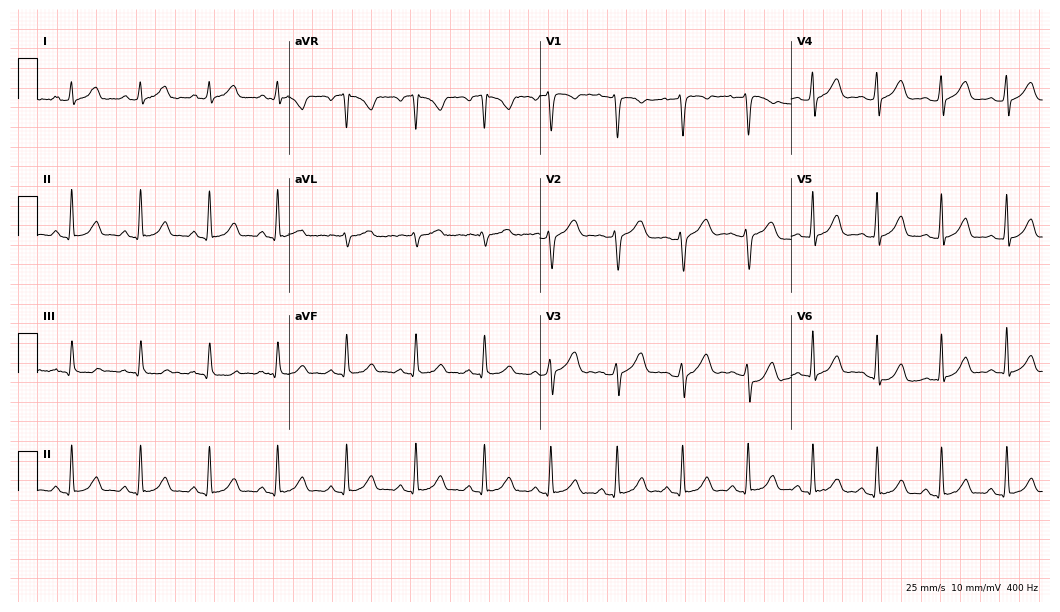
Standard 12-lead ECG recorded from a female, 24 years old. Read as a normal ECG.